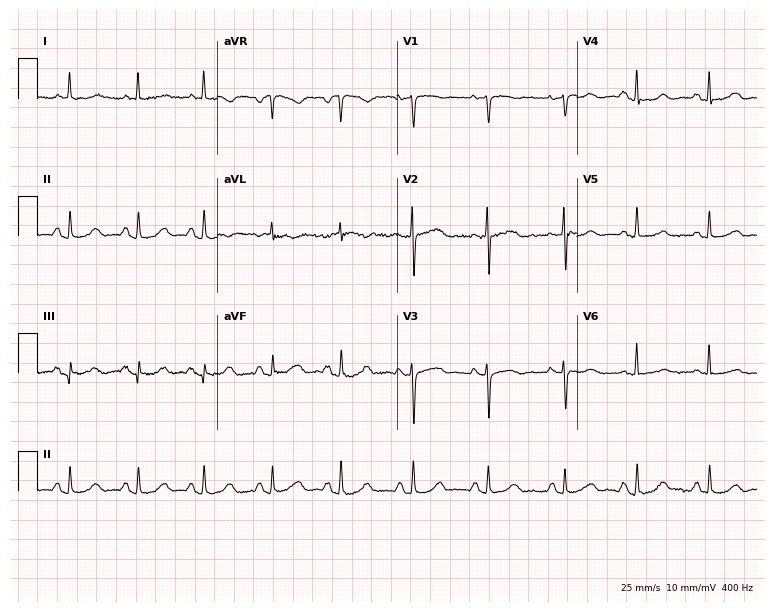
ECG (7.3-second recording at 400 Hz) — a female, 70 years old. Screened for six findings — first-degree AV block, right bundle branch block, left bundle branch block, sinus bradycardia, atrial fibrillation, sinus tachycardia — none is recorded. Only these six findings were labelled.